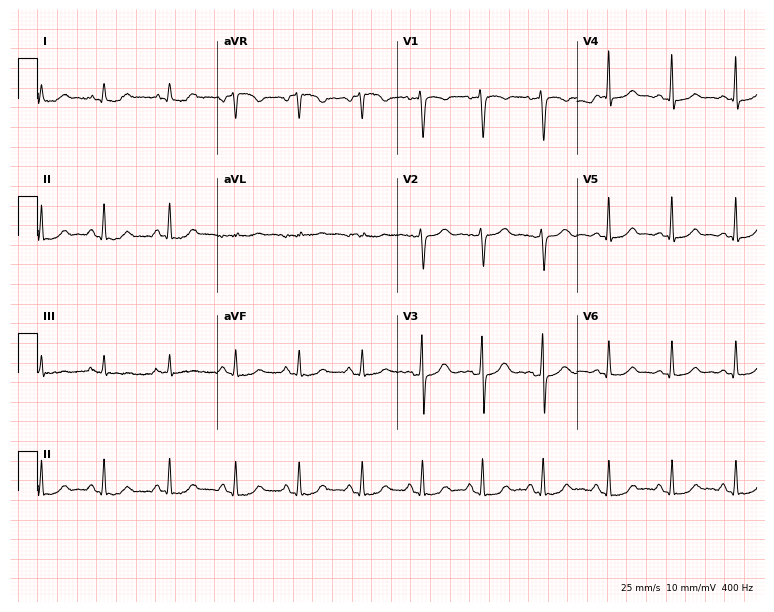
Resting 12-lead electrocardiogram (7.3-second recording at 400 Hz). Patient: a female, 25 years old. None of these six findings is recorded: first-degree AV block, right bundle branch block, left bundle branch block, sinus bradycardia, atrial fibrillation, sinus tachycardia. Only these six findings were labelled.